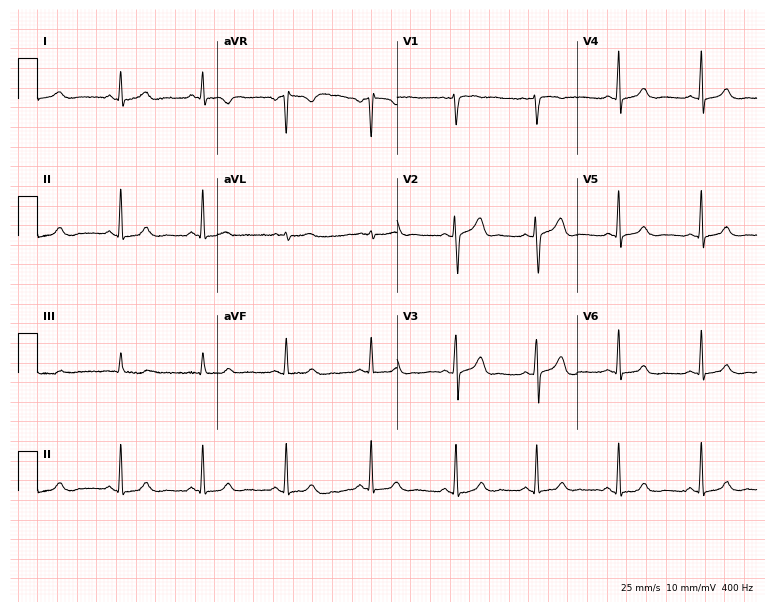
12-lead ECG from a female patient, 37 years old (7.3-second recording at 400 Hz). Recorded interpretation: within normal limits.